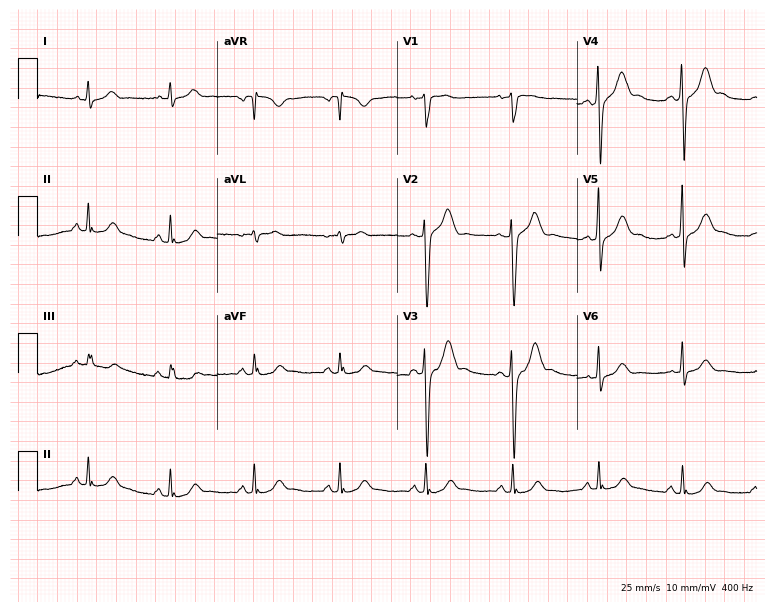
Resting 12-lead electrocardiogram (7.3-second recording at 400 Hz). Patient: a 34-year-old male. Read as a normal ECG.